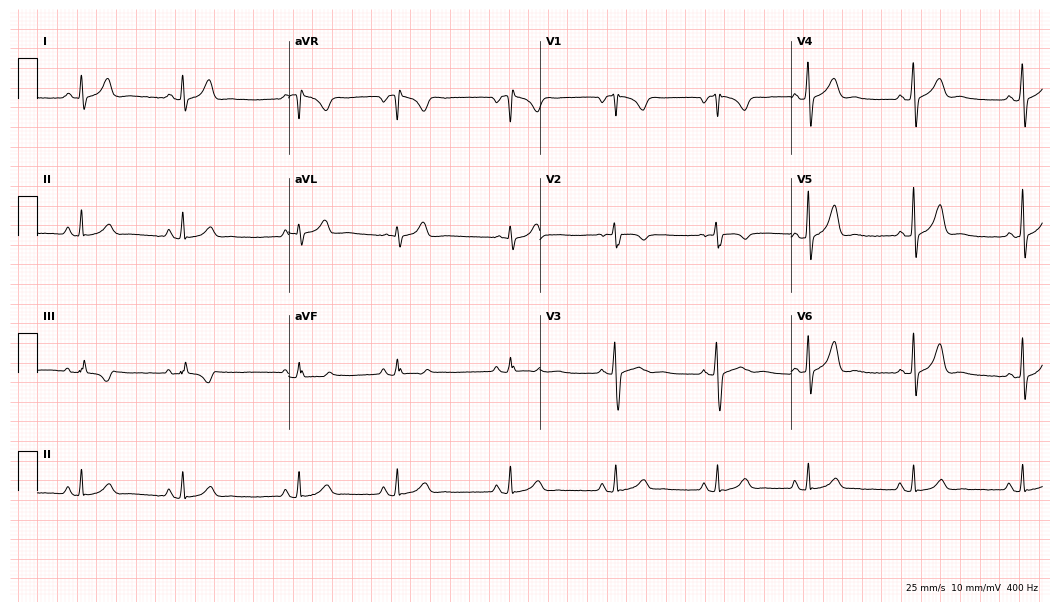
12-lead ECG (10.2-second recording at 400 Hz) from a woman, 30 years old. Labelled as a normal ECG.